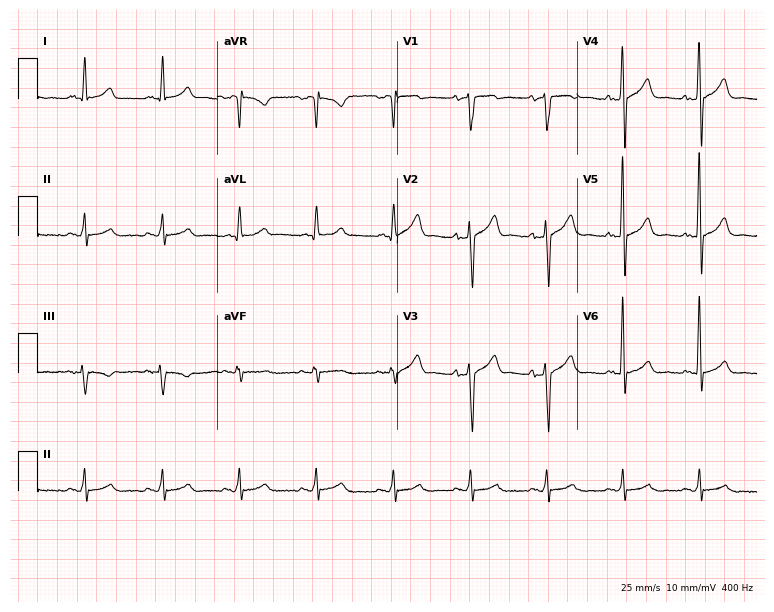
12-lead ECG from a 58-year-old male patient. Recorded interpretation: within normal limits.